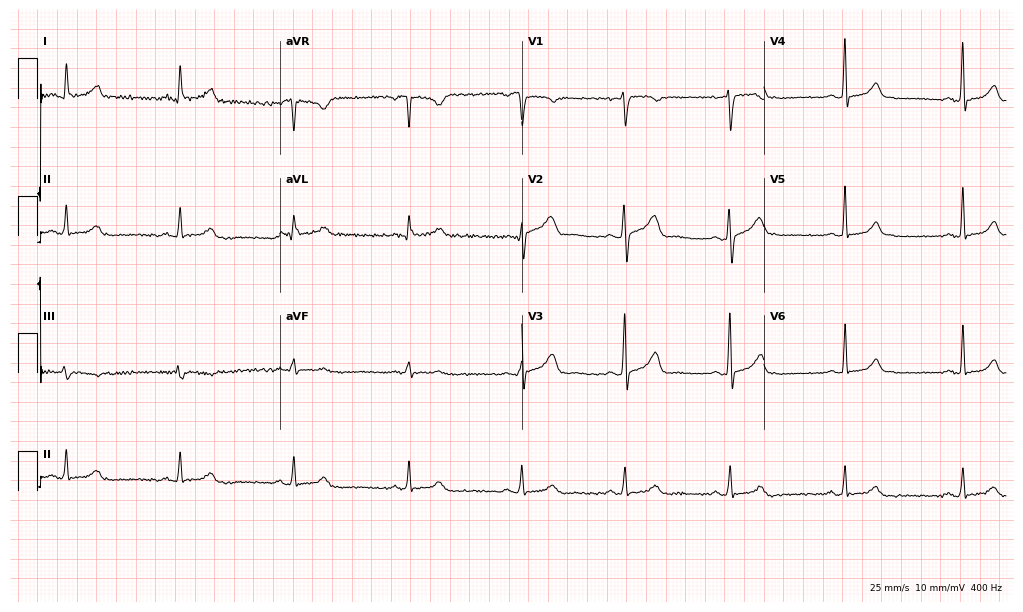
12-lead ECG from a female patient, 39 years old. Recorded interpretation: within normal limits.